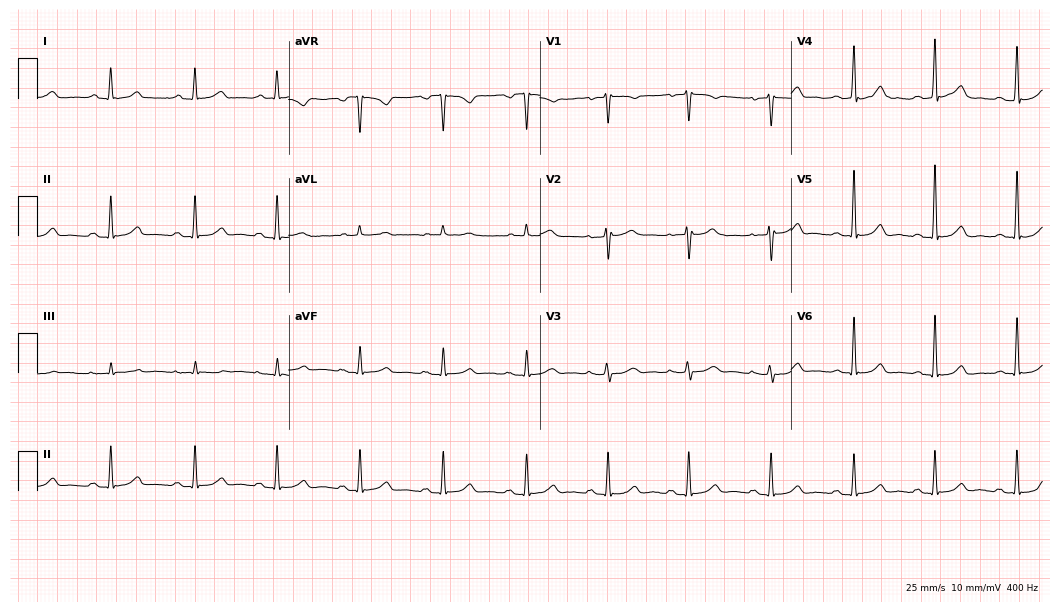
Resting 12-lead electrocardiogram. Patient: a female, 54 years old. Read as a normal ECG.